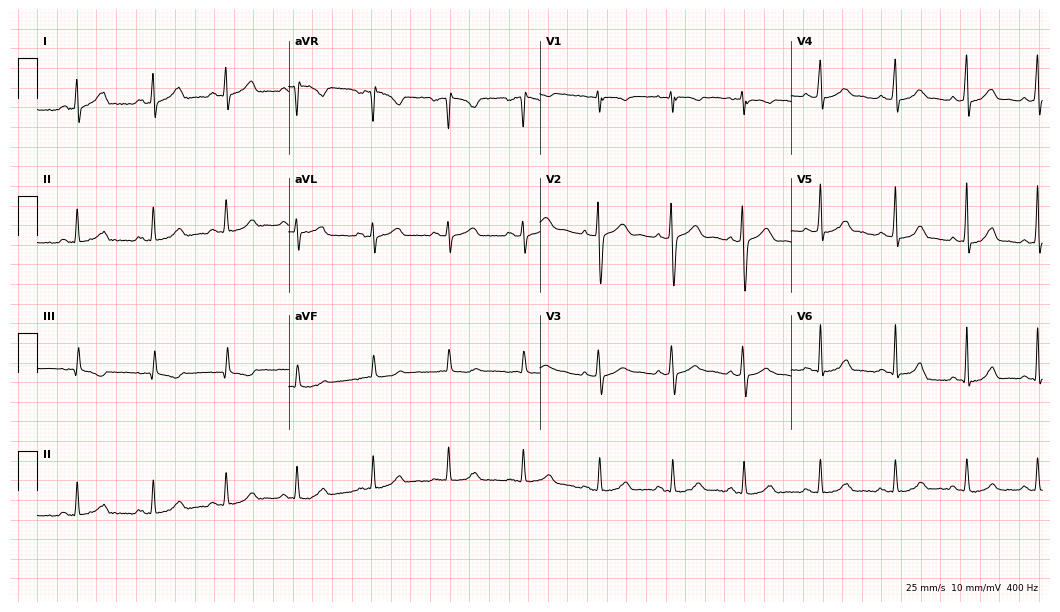
Resting 12-lead electrocardiogram. Patient: a female, 26 years old. Read as a normal ECG.